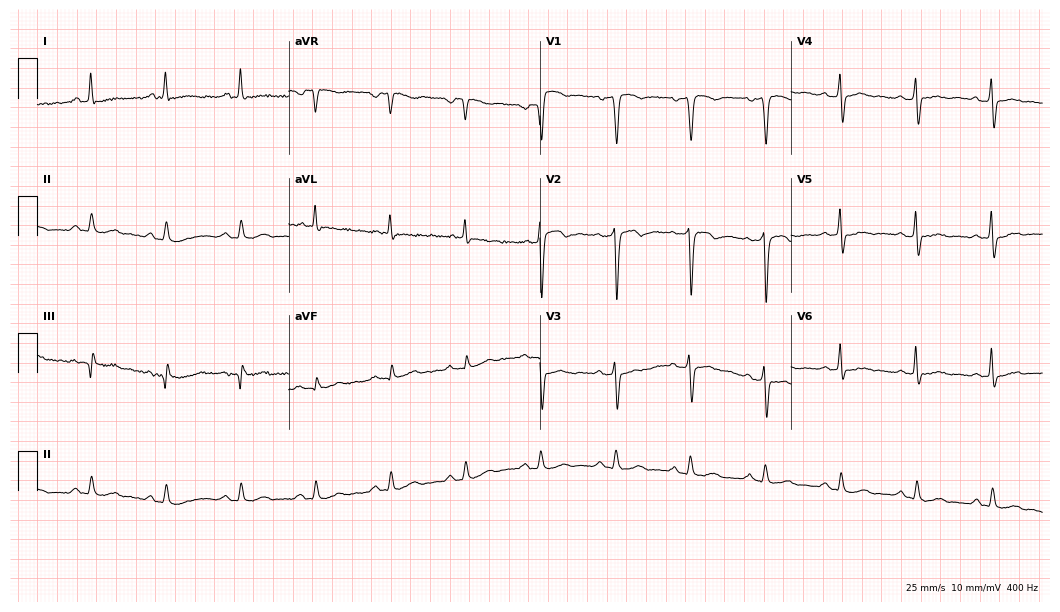
12-lead ECG from a man, 78 years old (10.2-second recording at 400 Hz). No first-degree AV block, right bundle branch block, left bundle branch block, sinus bradycardia, atrial fibrillation or sinus tachycardia recorded for this tracing.